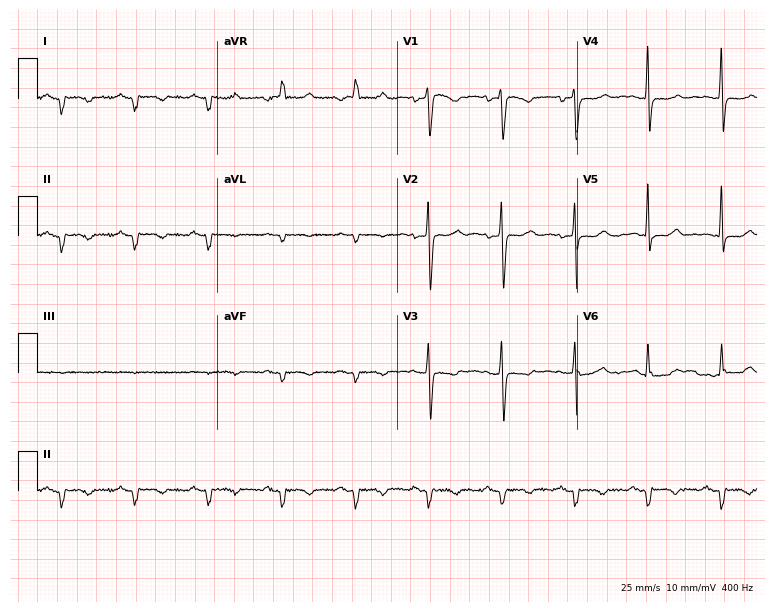
Electrocardiogram (7.3-second recording at 400 Hz), an 82-year-old female. Of the six screened findings (first-degree AV block, right bundle branch block, left bundle branch block, sinus bradycardia, atrial fibrillation, sinus tachycardia), none is recorded.